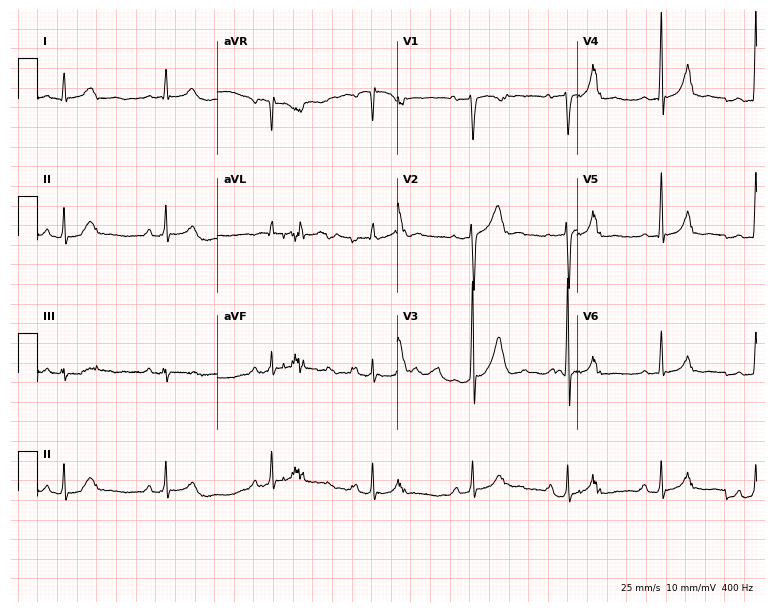
12-lead ECG from a male, 32 years old. Recorded interpretation: within normal limits.